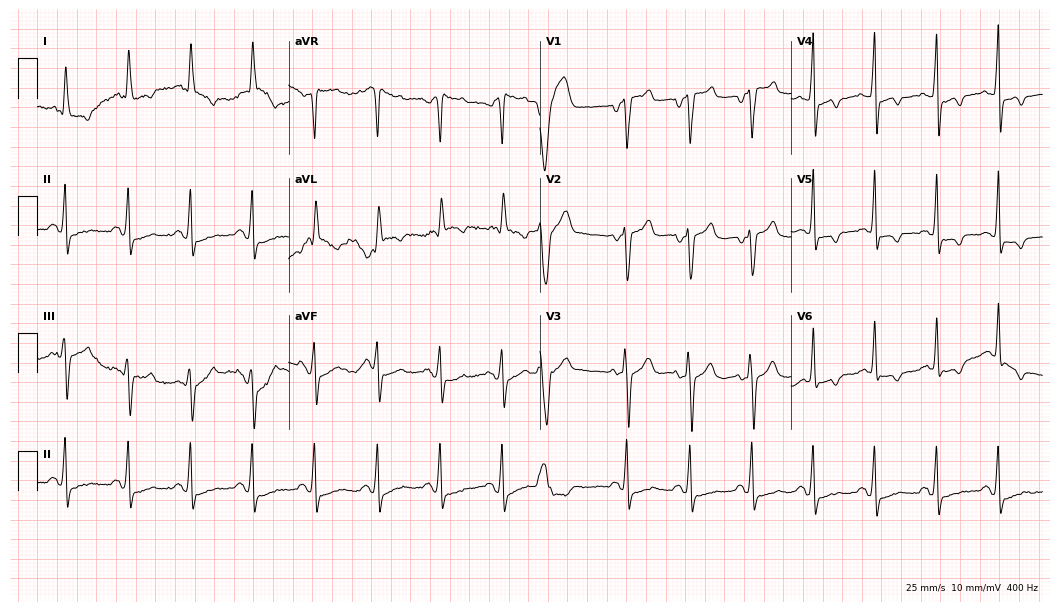
ECG — an 84-year-old female. Screened for six findings — first-degree AV block, right bundle branch block, left bundle branch block, sinus bradycardia, atrial fibrillation, sinus tachycardia — none is recorded. Only these six findings were labelled.